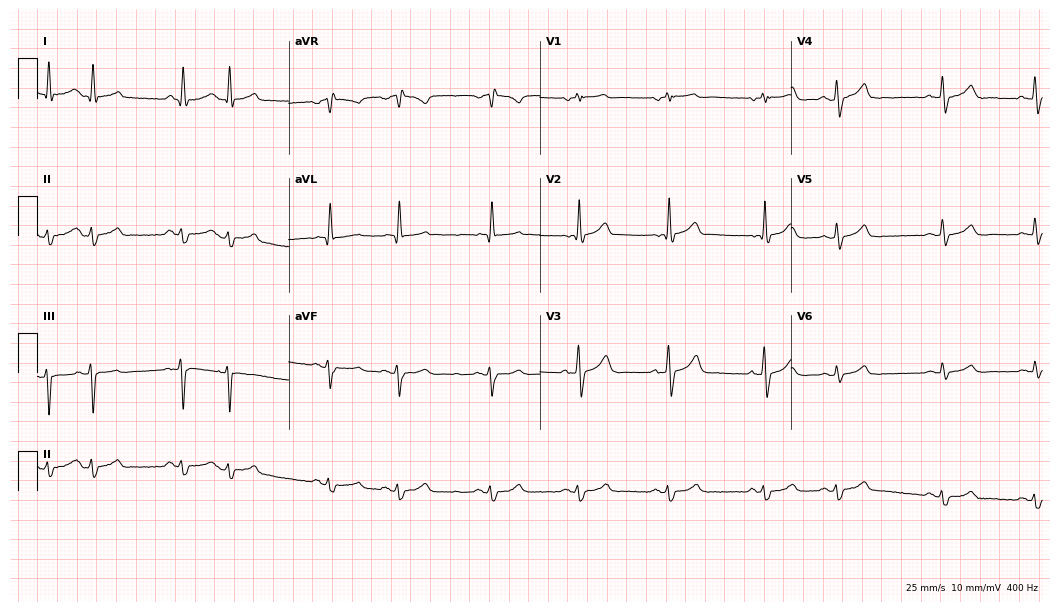
12-lead ECG from a 78-year-old male. No first-degree AV block, right bundle branch block, left bundle branch block, sinus bradycardia, atrial fibrillation or sinus tachycardia recorded for this tracing.